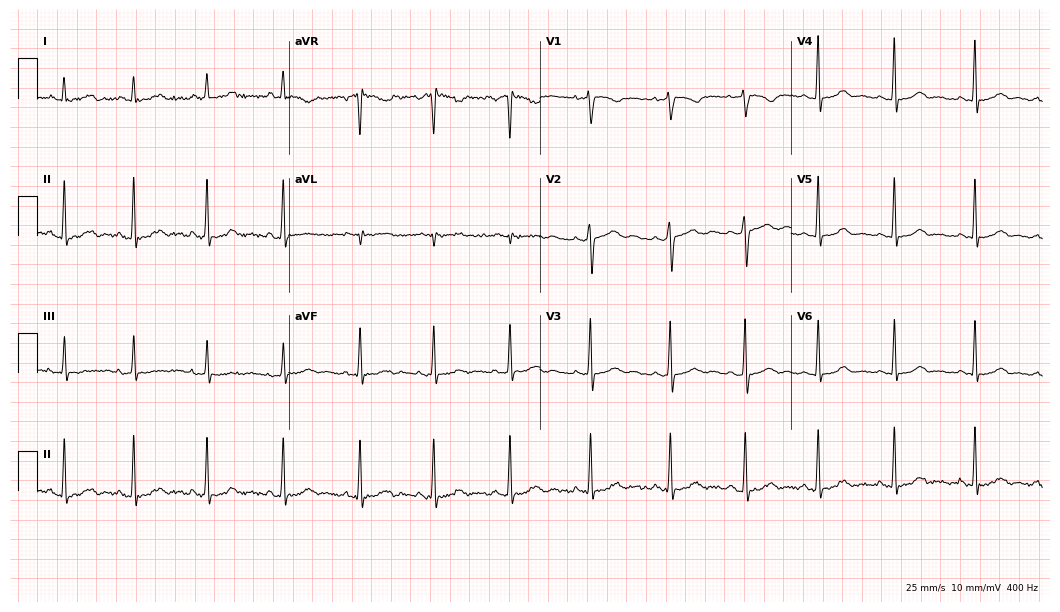
ECG (10.2-second recording at 400 Hz) — a 44-year-old woman. Screened for six findings — first-degree AV block, right bundle branch block, left bundle branch block, sinus bradycardia, atrial fibrillation, sinus tachycardia — none is recorded. Findings outside these six are not listed.